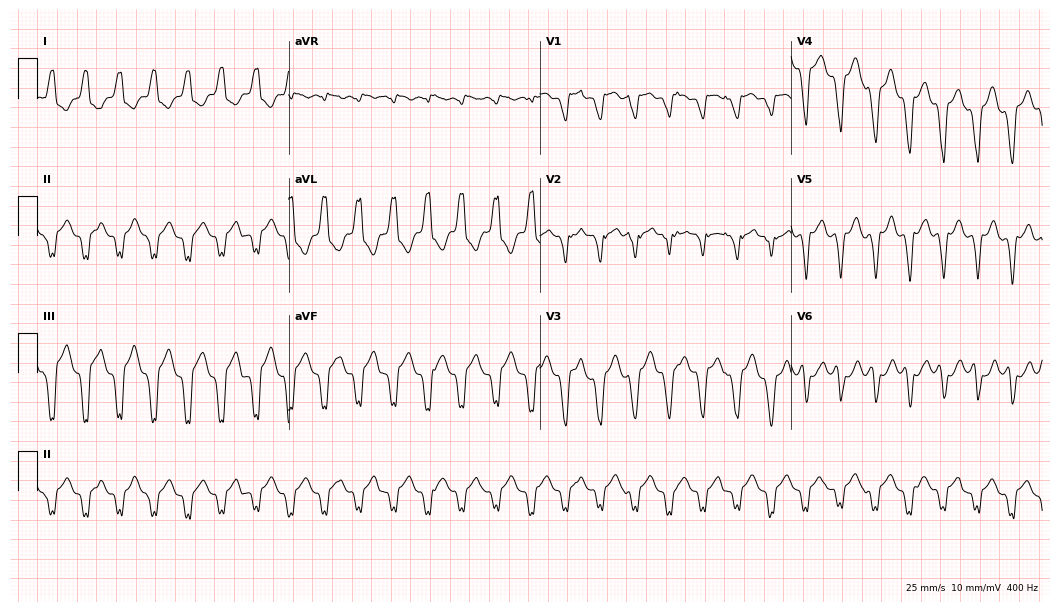
ECG (10.2-second recording at 400 Hz) — a man, 81 years old. Screened for six findings — first-degree AV block, right bundle branch block (RBBB), left bundle branch block (LBBB), sinus bradycardia, atrial fibrillation (AF), sinus tachycardia — none is recorded. Other findings, if any, are not listed.